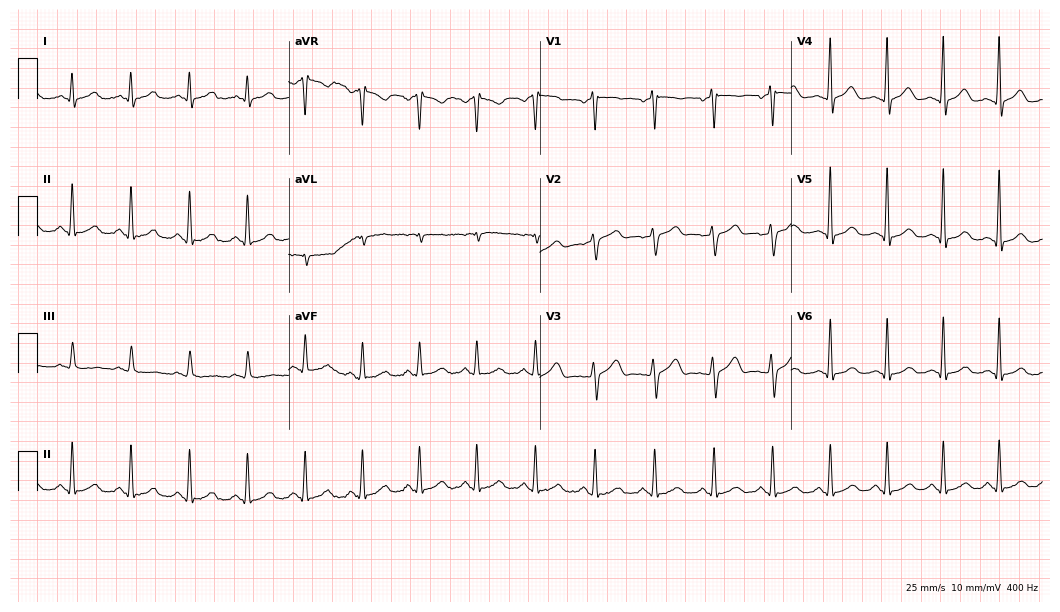
ECG (10.2-second recording at 400 Hz) — a woman, 38 years old. Findings include sinus tachycardia (a sinus rate of 100 beats per minute or more).